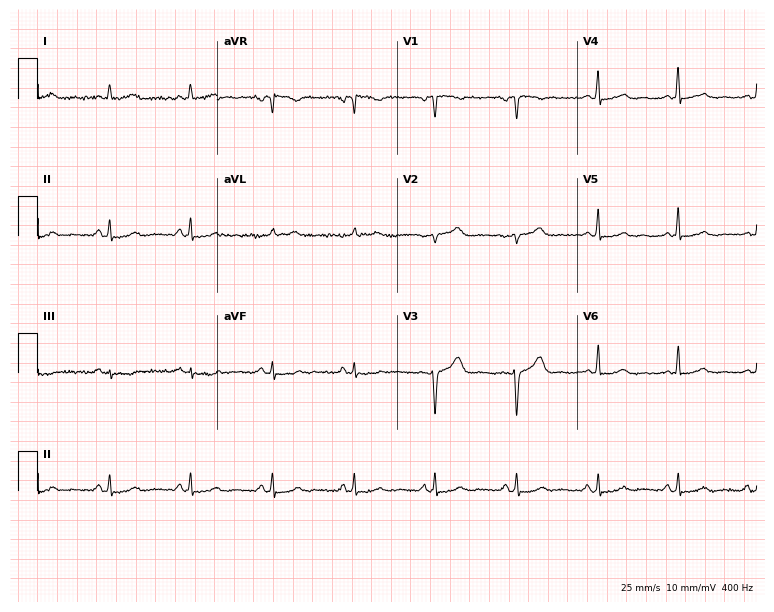
Electrocardiogram (7.3-second recording at 400 Hz), a female patient, 48 years old. Overall reading on record: normal ECG.